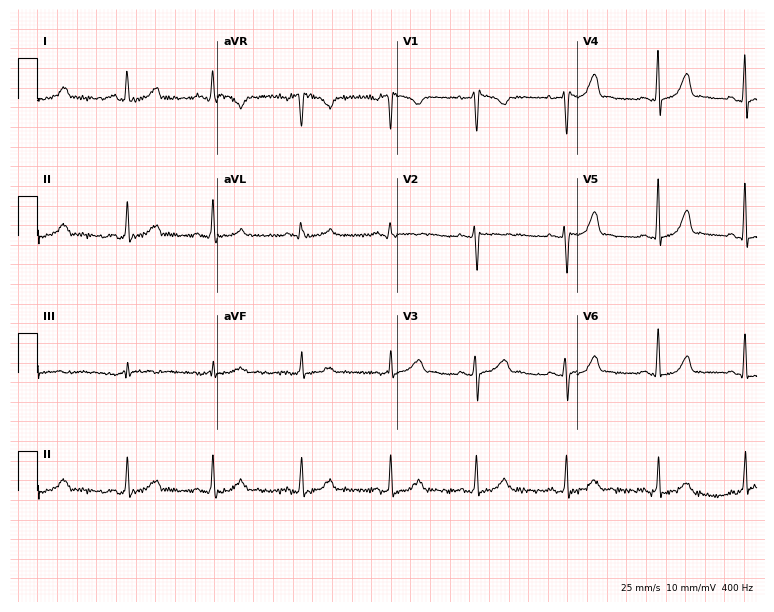
12-lead ECG (7.3-second recording at 400 Hz) from a 43-year-old female patient. Screened for six findings — first-degree AV block, right bundle branch block, left bundle branch block, sinus bradycardia, atrial fibrillation, sinus tachycardia — none is recorded. Only these six findings were labelled.